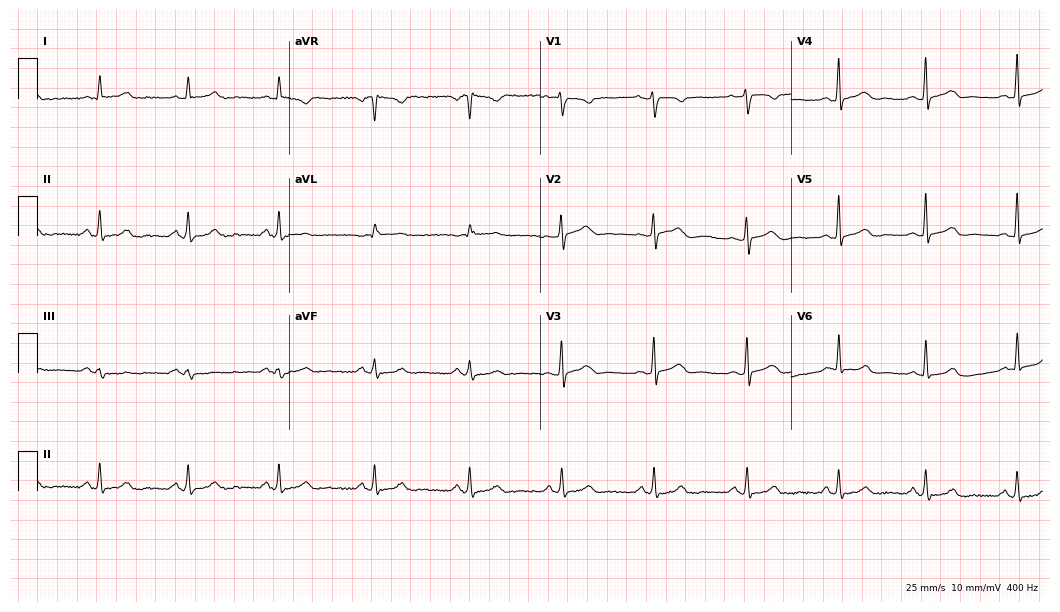
12-lead ECG (10.2-second recording at 400 Hz) from a female, 34 years old. Screened for six findings — first-degree AV block, right bundle branch block (RBBB), left bundle branch block (LBBB), sinus bradycardia, atrial fibrillation (AF), sinus tachycardia — none is recorded. Only these six findings were labelled.